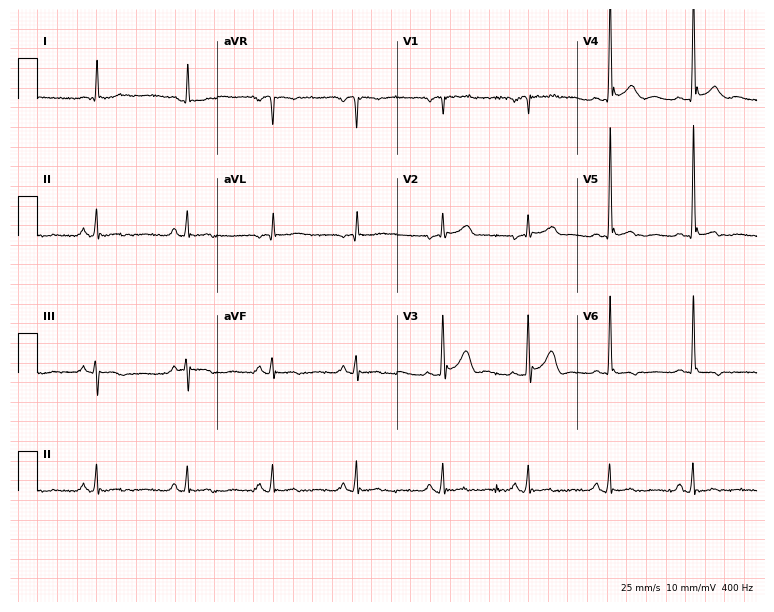
Resting 12-lead electrocardiogram (7.3-second recording at 400 Hz). Patient: a 63-year-old male. Read as a normal ECG.